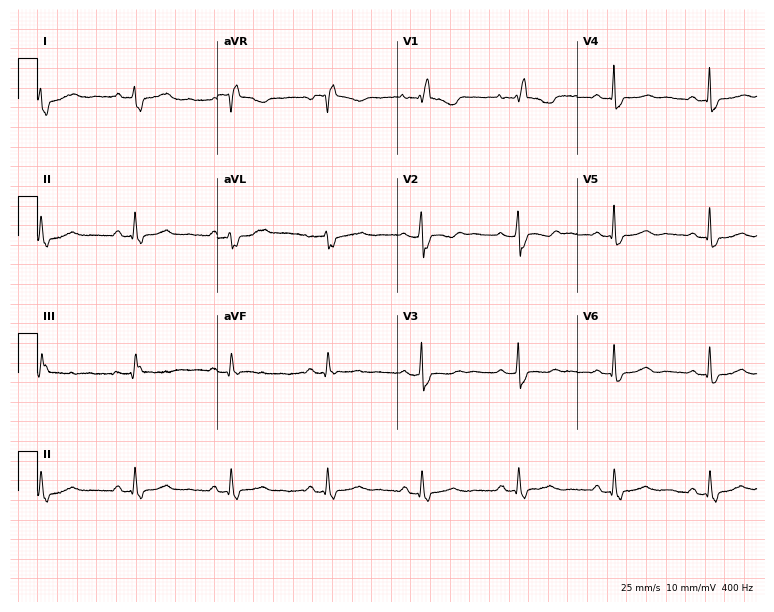
ECG — a female patient, 42 years old. Findings include right bundle branch block (RBBB).